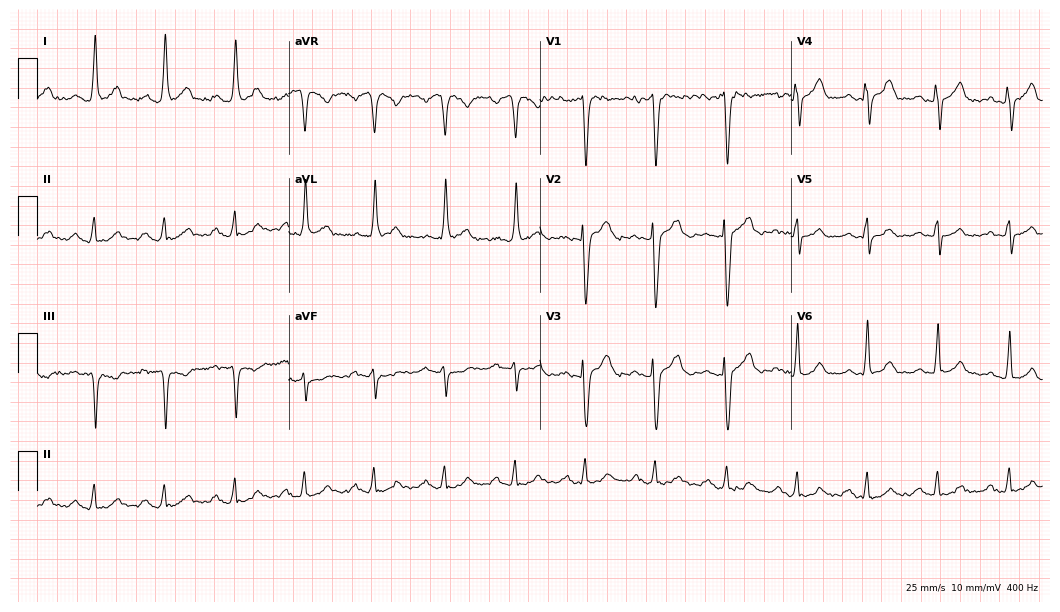
Electrocardiogram (10.2-second recording at 400 Hz), a female, 55 years old. Of the six screened findings (first-degree AV block, right bundle branch block, left bundle branch block, sinus bradycardia, atrial fibrillation, sinus tachycardia), none is recorded. Only these six findings were labelled.